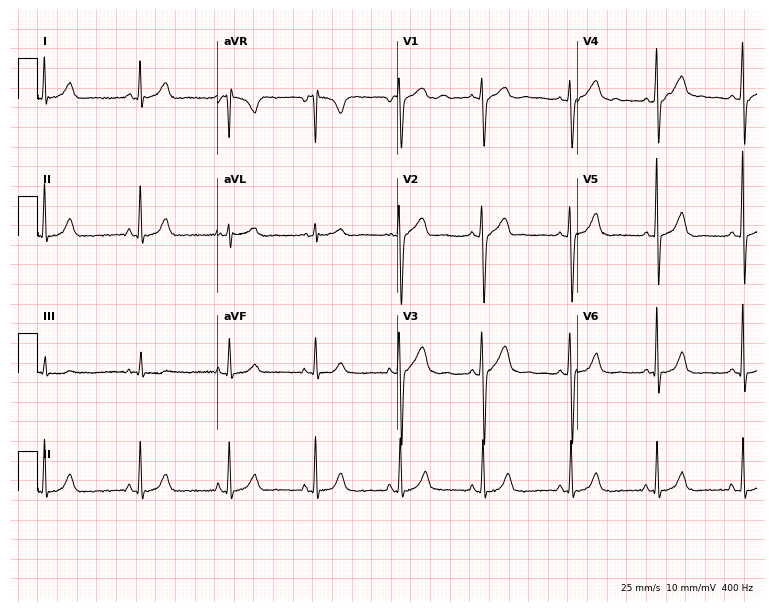
Standard 12-lead ECG recorded from a 27-year-old male patient. None of these six findings is recorded: first-degree AV block, right bundle branch block (RBBB), left bundle branch block (LBBB), sinus bradycardia, atrial fibrillation (AF), sinus tachycardia.